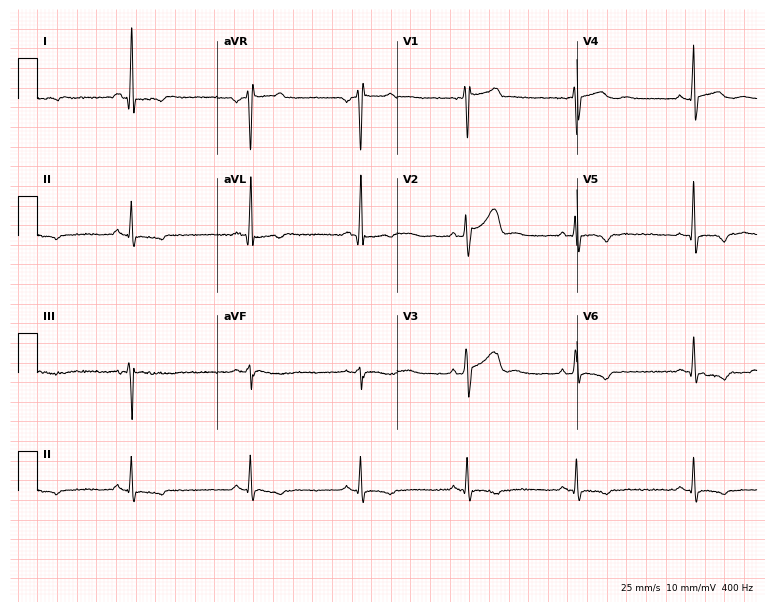
12-lead ECG from a 37-year-old male (7.3-second recording at 400 Hz). No first-degree AV block, right bundle branch block (RBBB), left bundle branch block (LBBB), sinus bradycardia, atrial fibrillation (AF) or sinus tachycardia recorded for this tracing.